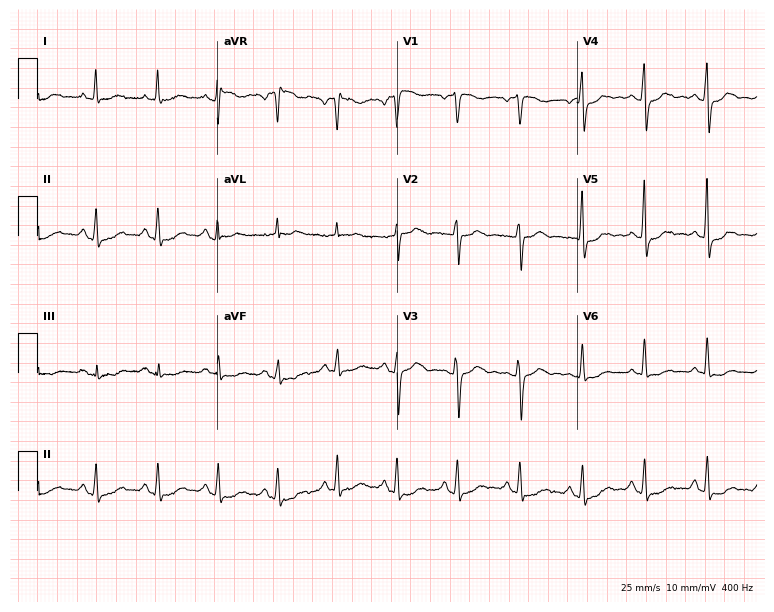
Resting 12-lead electrocardiogram (7.3-second recording at 400 Hz). Patient: a 45-year-old woman. Read as a normal ECG.